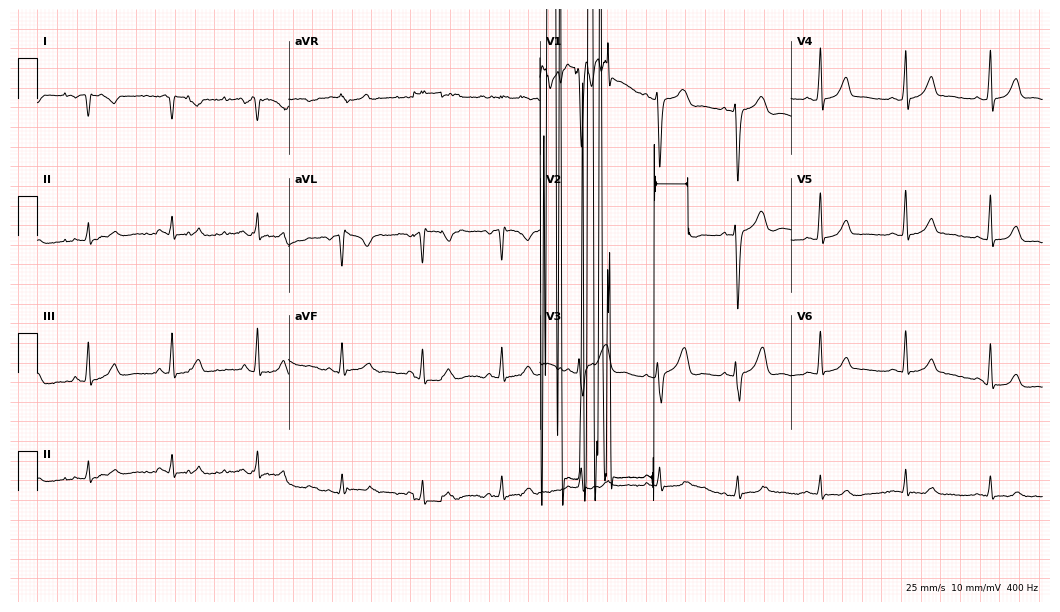
Resting 12-lead electrocardiogram (10.2-second recording at 400 Hz). Patient: a 30-year-old woman. None of these six findings is recorded: first-degree AV block, right bundle branch block, left bundle branch block, sinus bradycardia, atrial fibrillation, sinus tachycardia. Only these six findings were labelled.